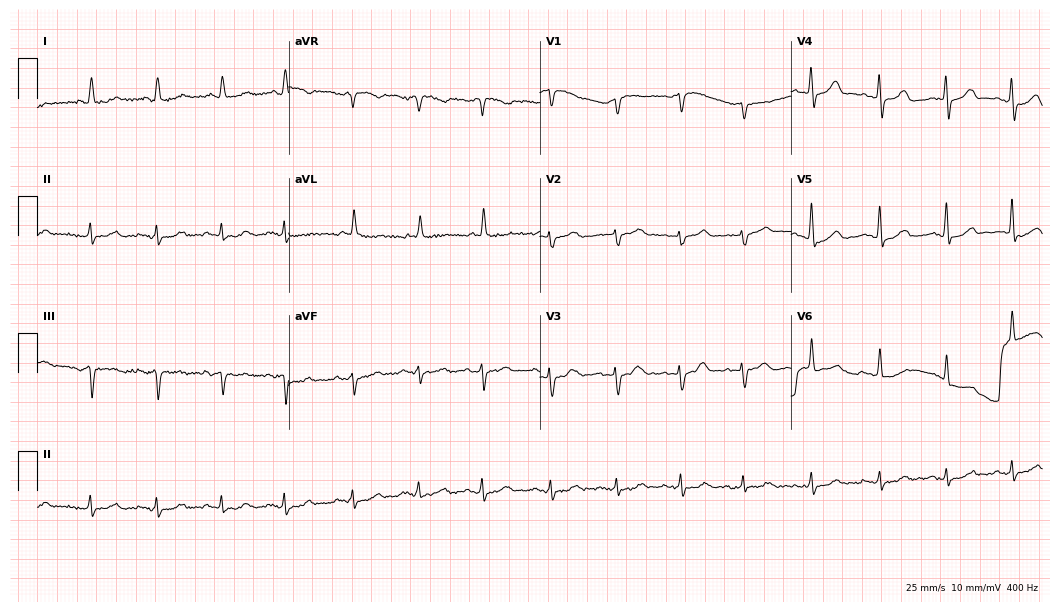
12-lead ECG from an 87-year-old female. Screened for six findings — first-degree AV block, right bundle branch block, left bundle branch block, sinus bradycardia, atrial fibrillation, sinus tachycardia — none is recorded.